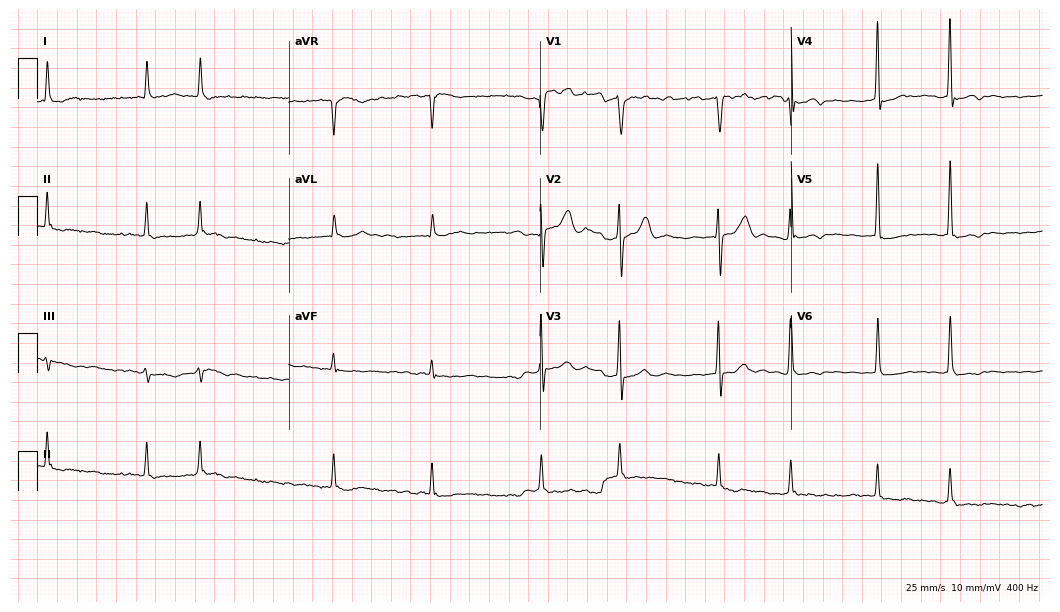
12-lead ECG (10.2-second recording at 400 Hz) from a 79-year-old male patient. Findings include atrial fibrillation.